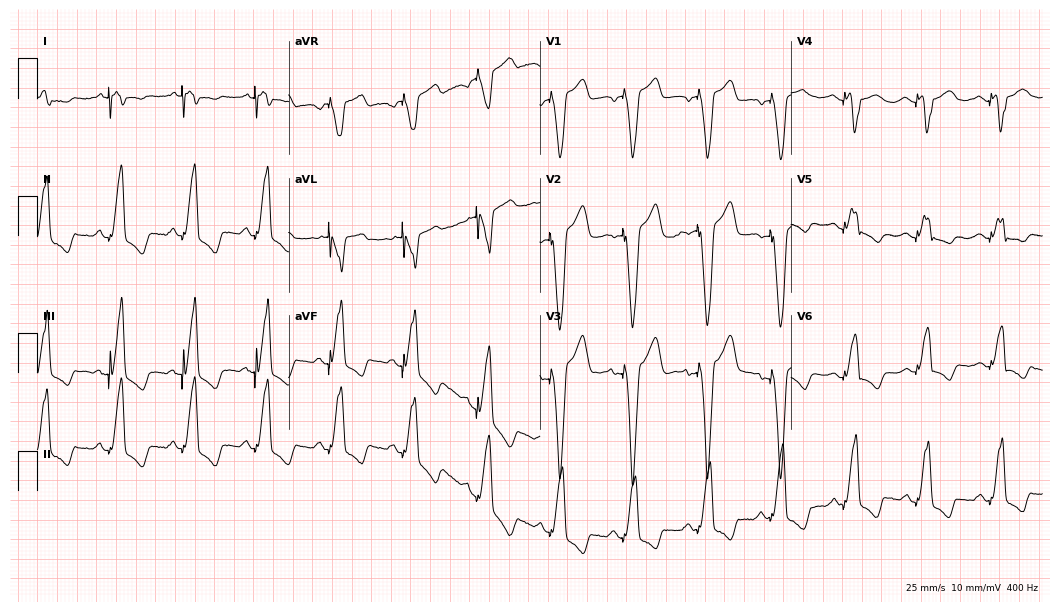
ECG — a woman, 73 years old. Screened for six findings — first-degree AV block, right bundle branch block (RBBB), left bundle branch block (LBBB), sinus bradycardia, atrial fibrillation (AF), sinus tachycardia — none is recorded. Only these six findings were labelled.